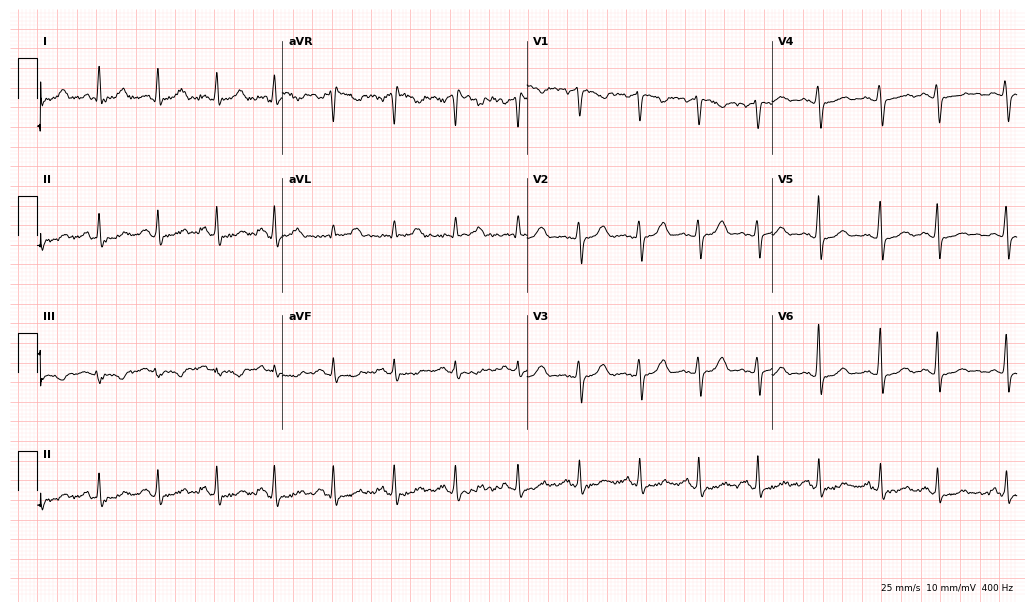
Standard 12-lead ECG recorded from a 34-year-old woman. Read as a normal ECG.